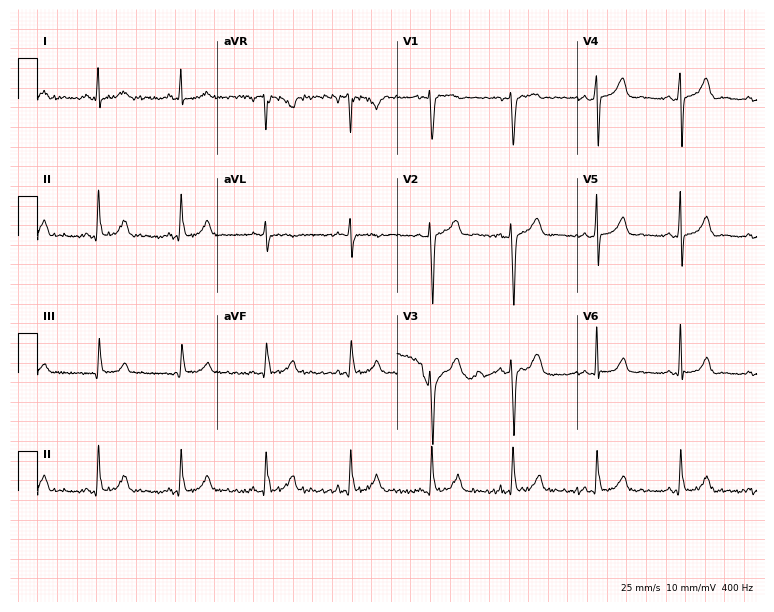
12-lead ECG from a 33-year-old female patient. Labelled as a normal ECG.